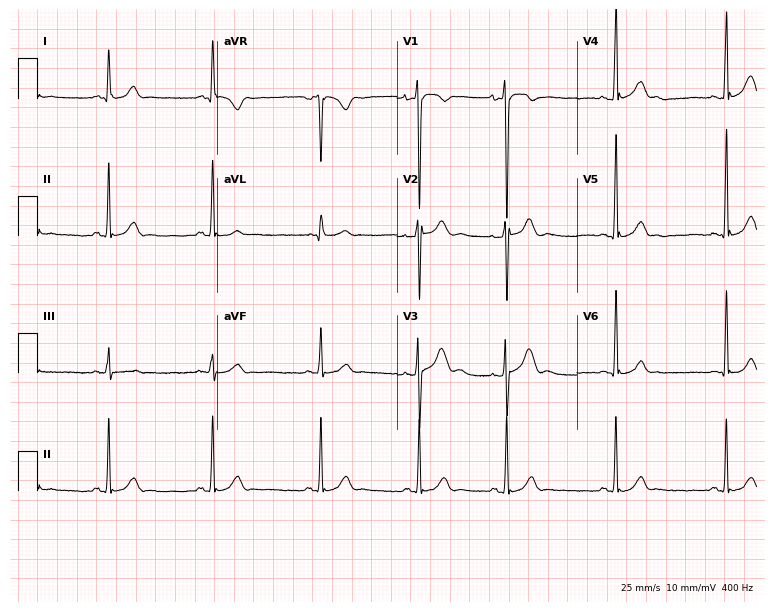
Standard 12-lead ECG recorded from a 19-year-old male patient. None of these six findings is recorded: first-degree AV block, right bundle branch block (RBBB), left bundle branch block (LBBB), sinus bradycardia, atrial fibrillation (AF), sinus tachycardia.